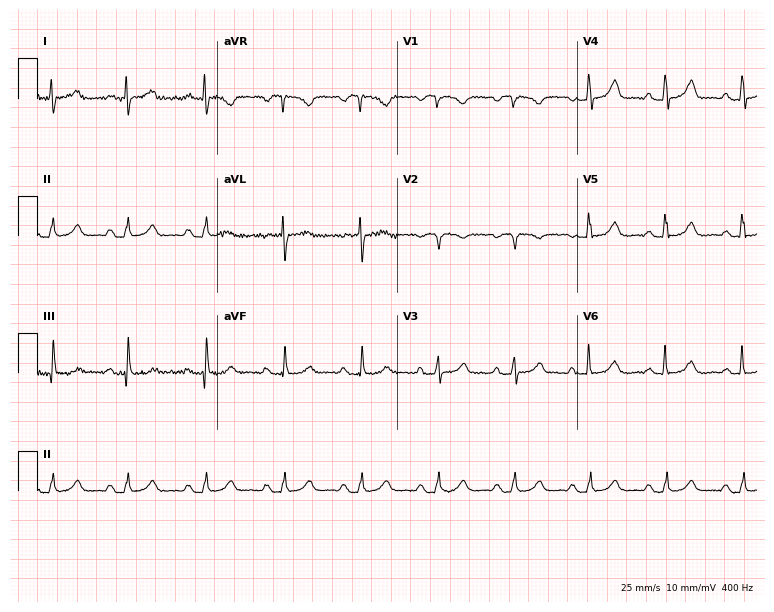
12-lead ECG (7.3-second recording at 400 Hz) from a female, 68 years old. Labelled as a normal ECG.